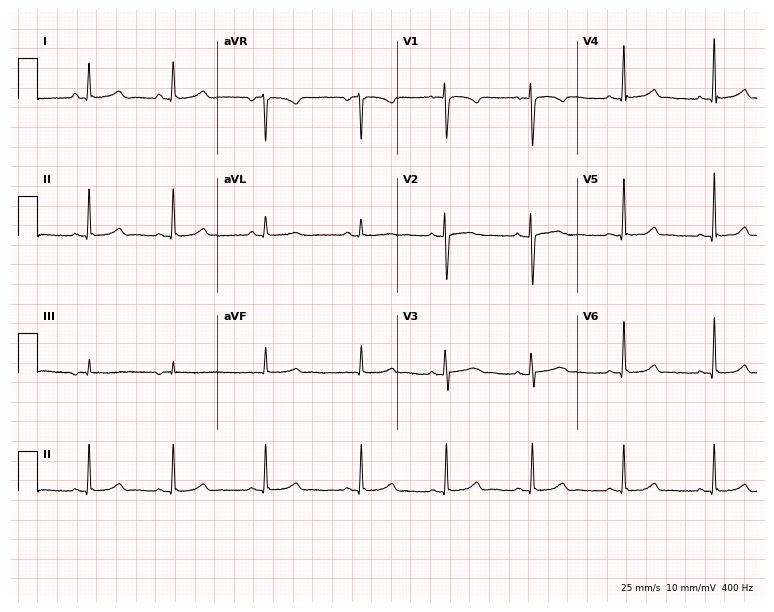
Electrocardiogram (7.3-second recording at 400 Hz), a female, 34 years old. Overall reading on record: normal ECG.